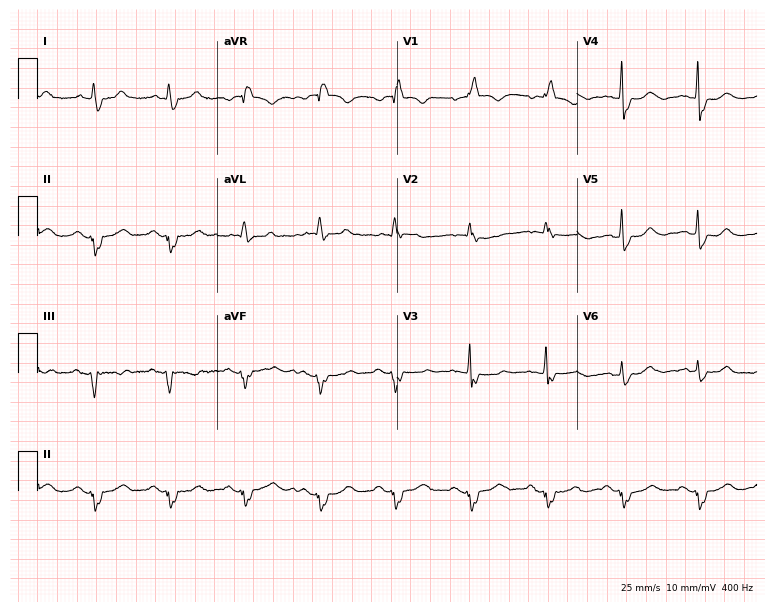
Standard 12-lead ECG recorded from a female, 80 years old. The tracing shows right bundle branch block.